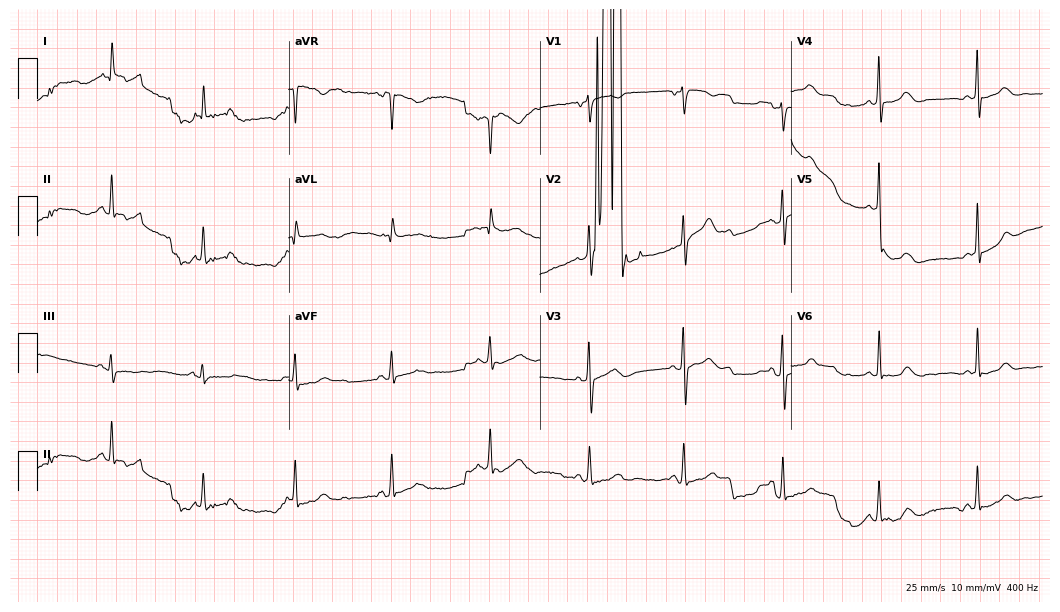
Standard 12-lead ECG recorded from an 80-year-old female patient. None of these six findings is recorded: first-degree AV block, right bundle branch block (RBBB), left bundle branch block (LBBB), sinus bradycardia, atrial fibrillation (AF), sinus tachycardia.